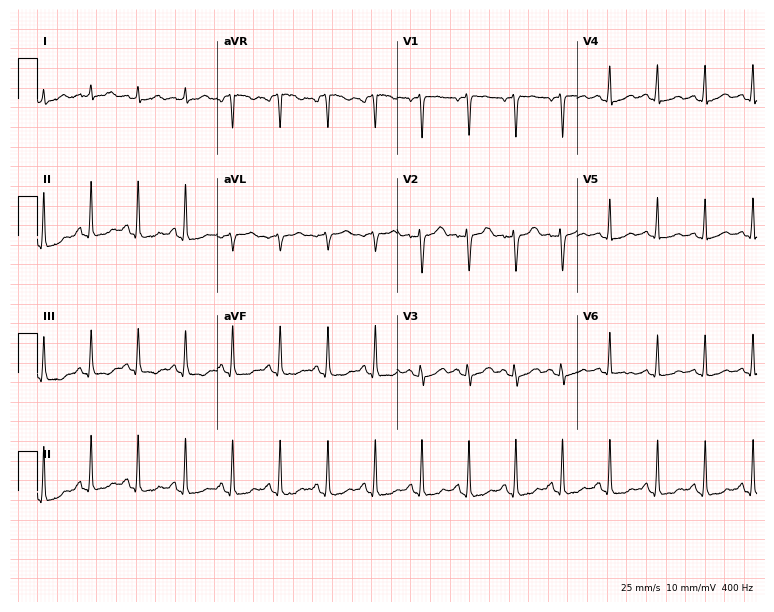
12-lead ECG from a female patient, 25 years old. Screened for six findings — first-degree AV block, right bundle branch block (RBBB), left bundle branch block (LBBB), sinus bradycardia, atrial fibrillation (AF), sinus tachycardia — none is recorded.